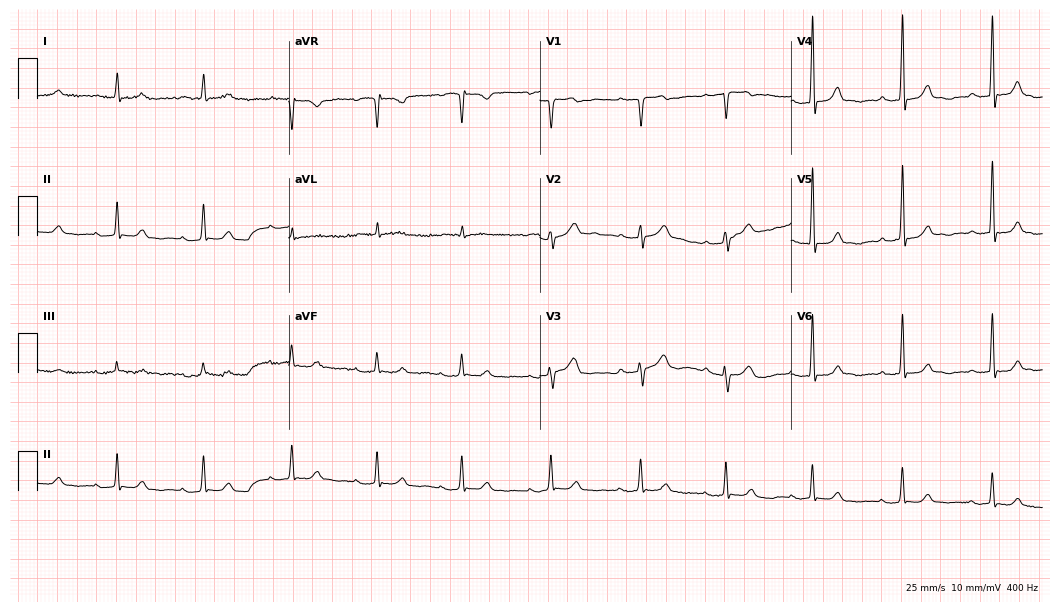
Standard 12-lead ECG recorded from a woman, 71 years old. None of these six findings is recorded: first-degree AV block, right bundle branch block, left bundle branch block, sinus bradycardia, atrial fibrillation, sinus tachycardia. Findings outside these six are not listed.